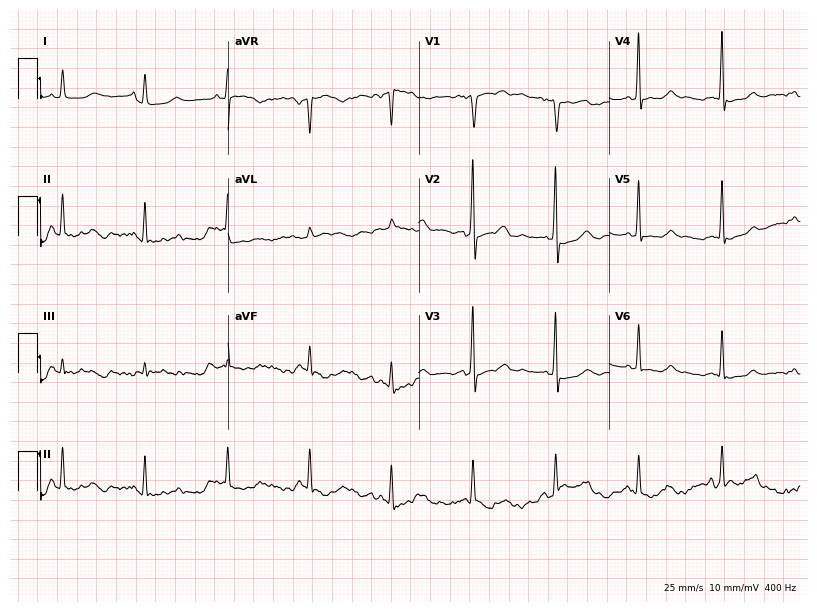
12-lead ECG from a female, 59 years old (7.8-second recording at 400 Hz). No first-degree AV block, right bundle branch block, left bundle branch block, sinus bradycardia, atrial fibrillation or sinus tachycardia recorded for this tracing.